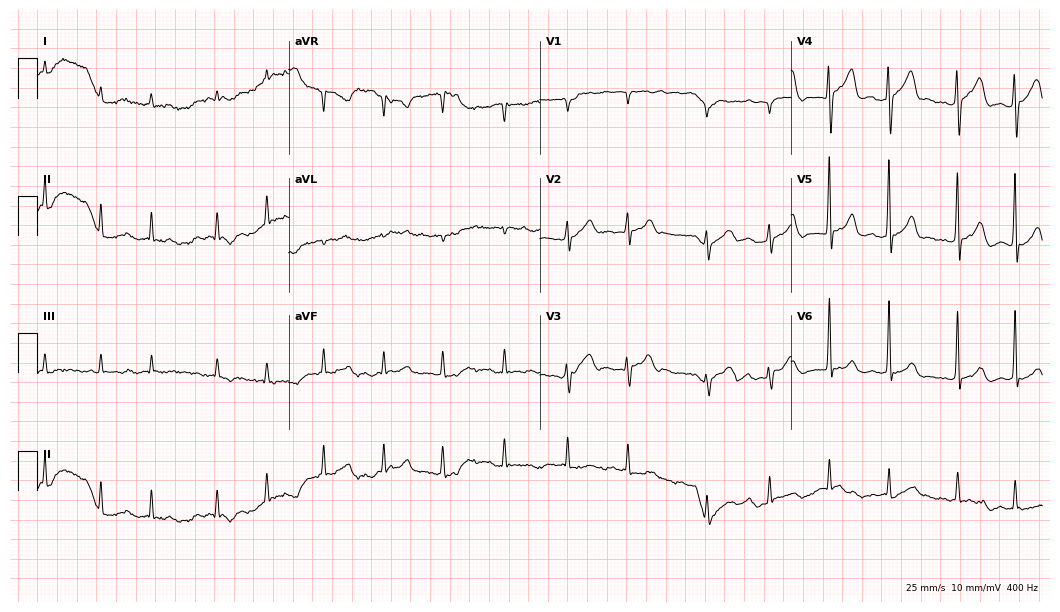
Standard 12-lead ECG recorded from a female, 83 years old. None of these six findings is recorded: first-degree AV block, right bundle branch block (RBBB), left bundle branch block (LBBB), sinus bradycardia, atrial fibrillation (AF), sinus tachycardia. Only these six findings were labelled.